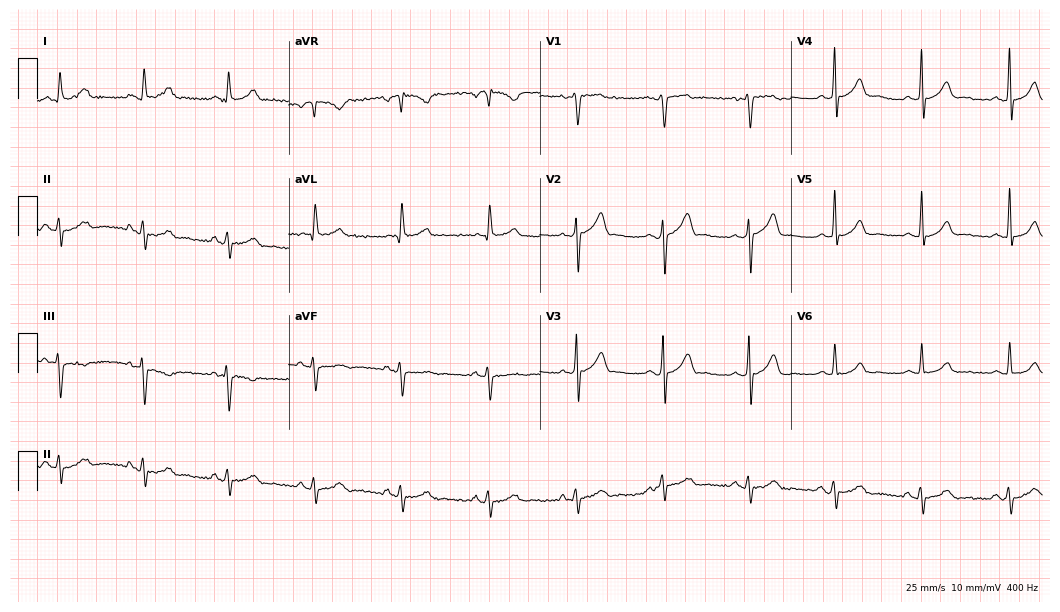
12-lead ECG from a 57-year-old man (10.2-second recording at 400 Hz). No first-degree AV block, right bundle branch block (RBBB), left bundle branch block (LBBB), sinus bradycardia, atrial fibrillation (AF) or sinus tachycardia recorded for this tracing.